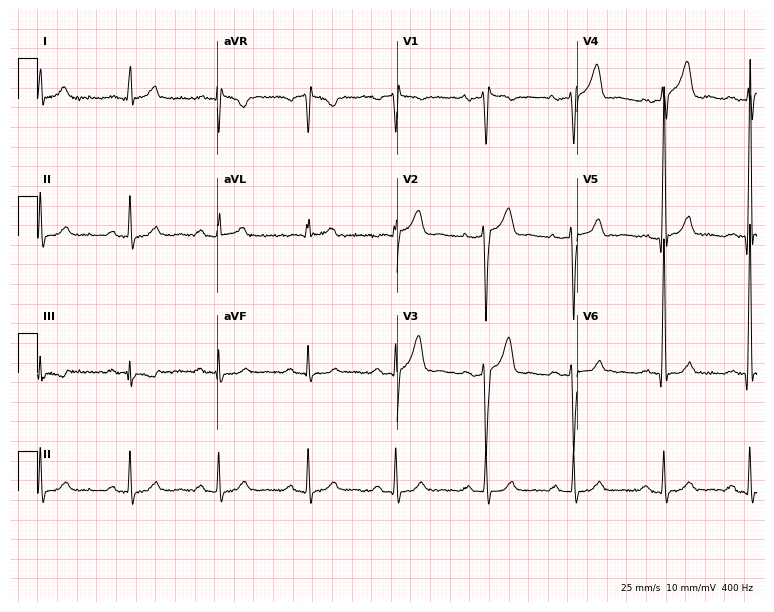
ECG — a male patient, 72 years old. Labelled as a normal ECG.